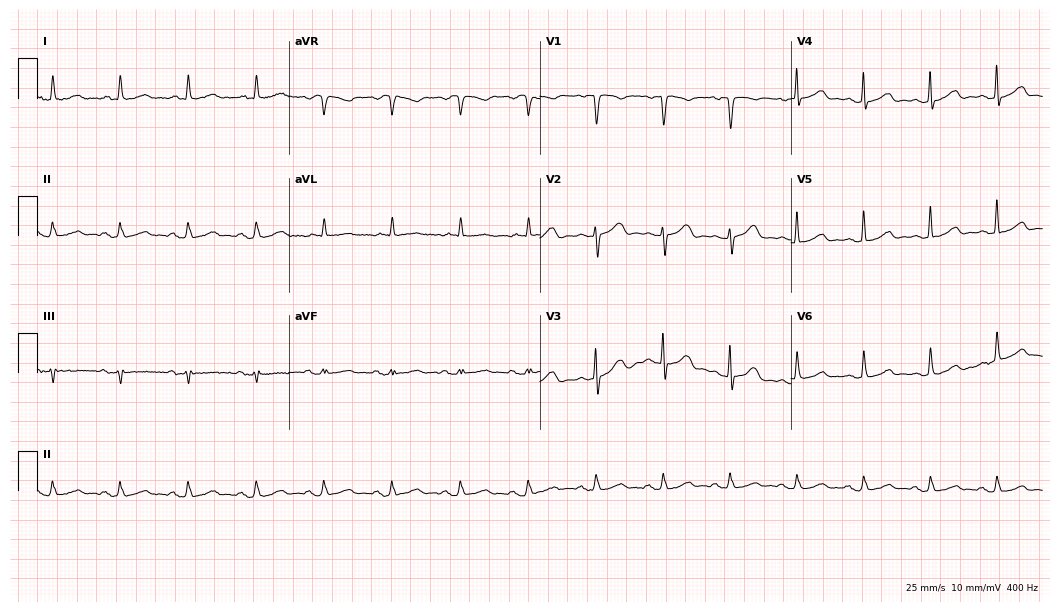
12-lead ECG from a woman, 81 years old (10.2-second recording at 400 Hz). Recorded interpretation: within normal limits.